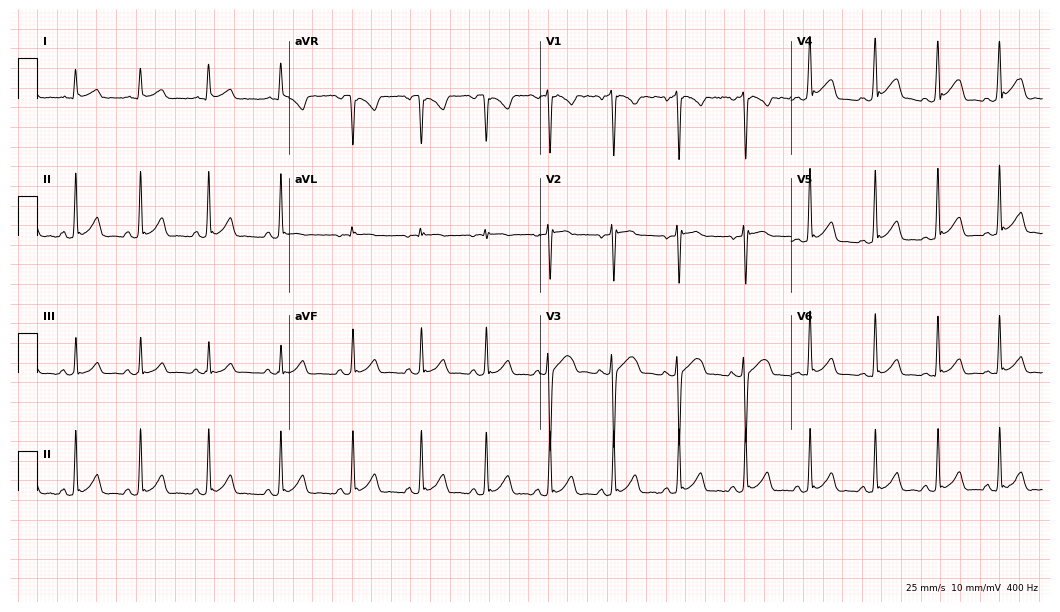
Electrocardiogram, a male patient, 30 years old. Overall reading on record: normal ECG.